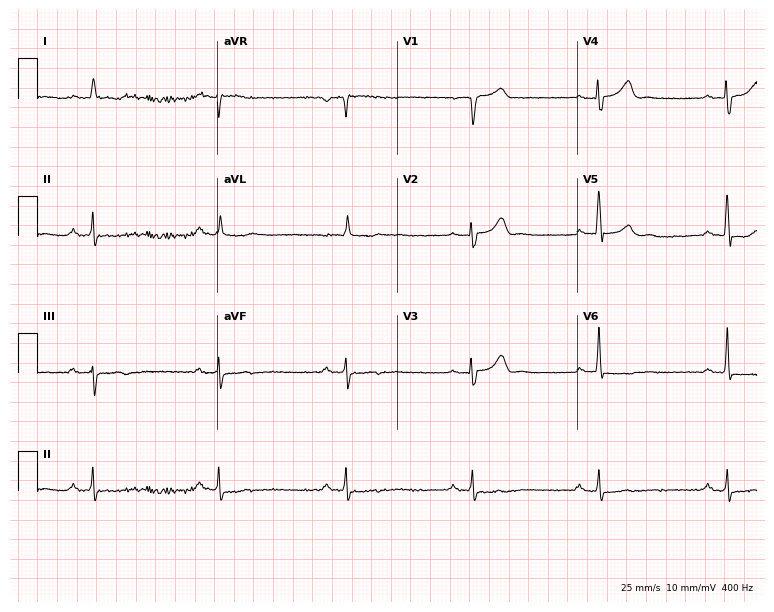
Standard 12-lead ECG recorded from an 83-year-old male patient (7.3-second recording at 400 Hz). The tracing shows sinus bradycardia (a sinus rate of 50 beats per minute or less).